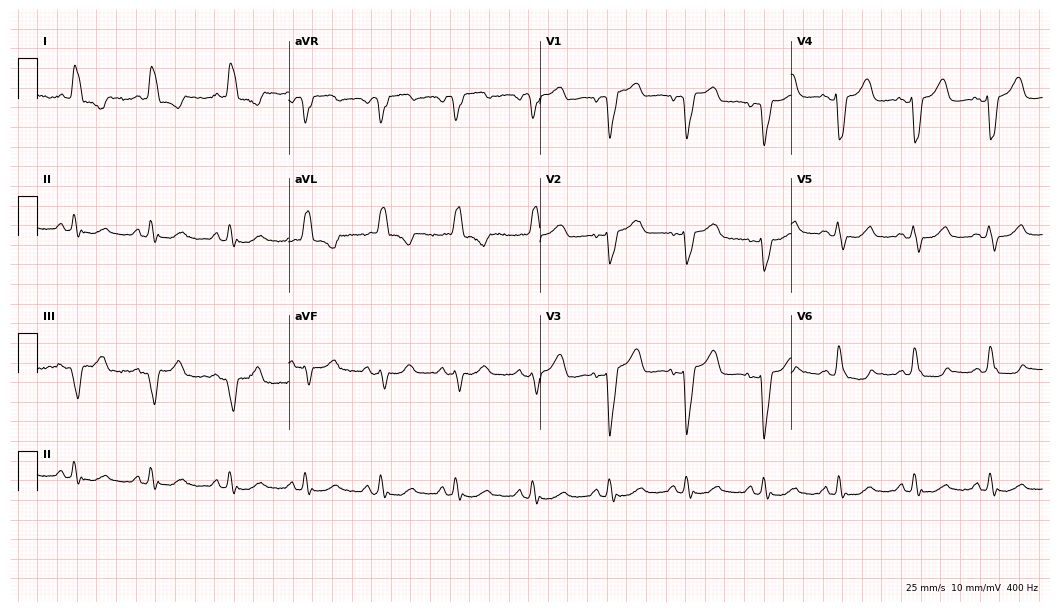
12-lead ECG from a female patient, 75 years old. No first-degree AV block, right bundle branch block (RBBB), left bundle branch block (LBBB), sinus bradycardia, atrial fibrillation (AF) or sinus tachycardia recorded for this tracing. Findings outside these six are not listed.